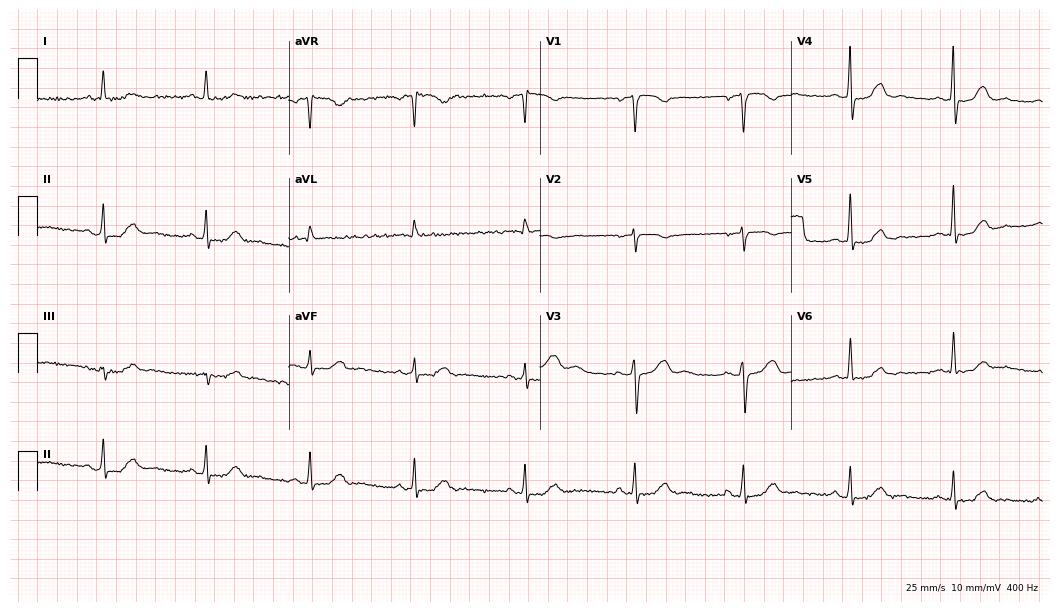
12-lead ECG from a 54-year-old woman. No first-degree AV block, right bundle branch block, left bundle branch block, sinus bradycardia, atrial fibrillation or sinus tachycardia recorded for this tracing. Other findings, if any, are not listed.